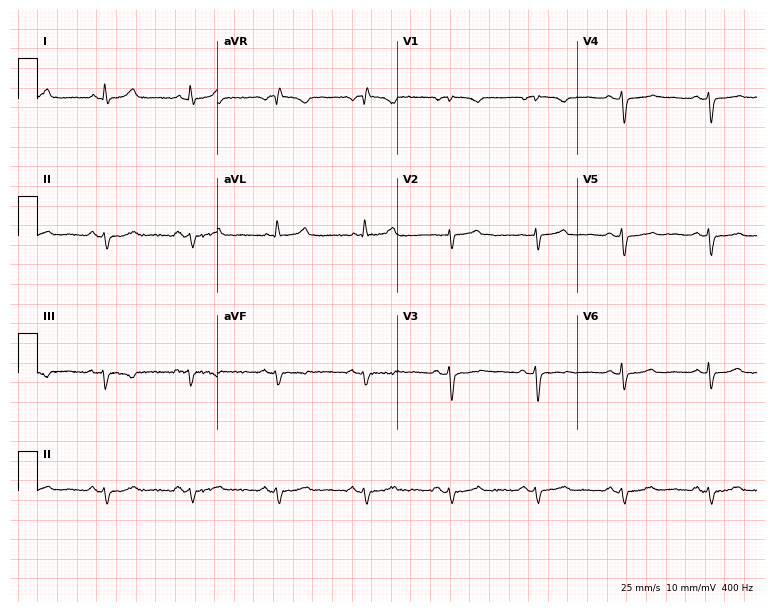
12-lead ECG from a female patient, 83 years old. No first-degree AV block, right bundle branch block, left bundle branch block, sinus bradycardia, atrial fibrillation or sinus tachycardia recorded for this tracing.